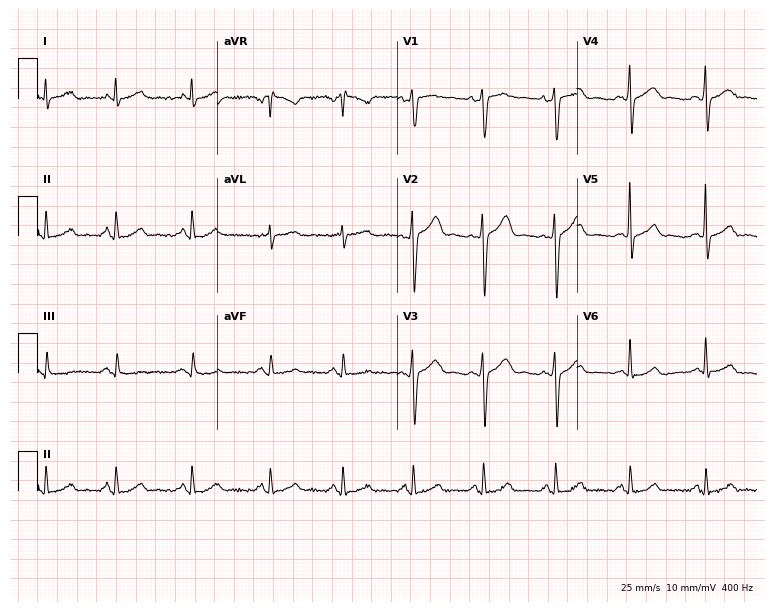
ECG (7.3-second recording at 400 Hz) — a male, 53 years old. Labelled as a normal ECG.